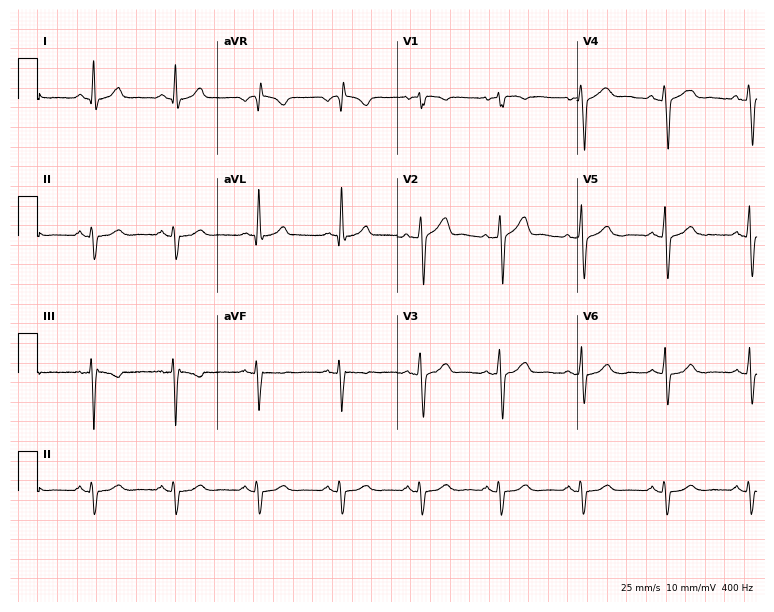
12-lead ECG from a man, 43 years old. Screened for six findings — first-degree AV block, right bundle branch block, left bundle branch block, sinus bradycardia, atrial fibrillation, sinus tachycardia — none is recorded.